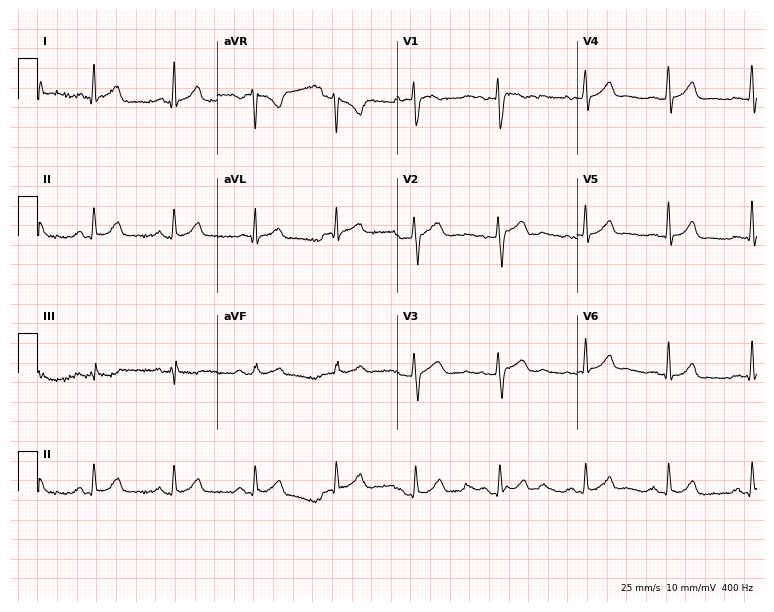
Resting 12-lead electrocardiogram. Patient: a 39-year-old woman. Read as a normal ECG.